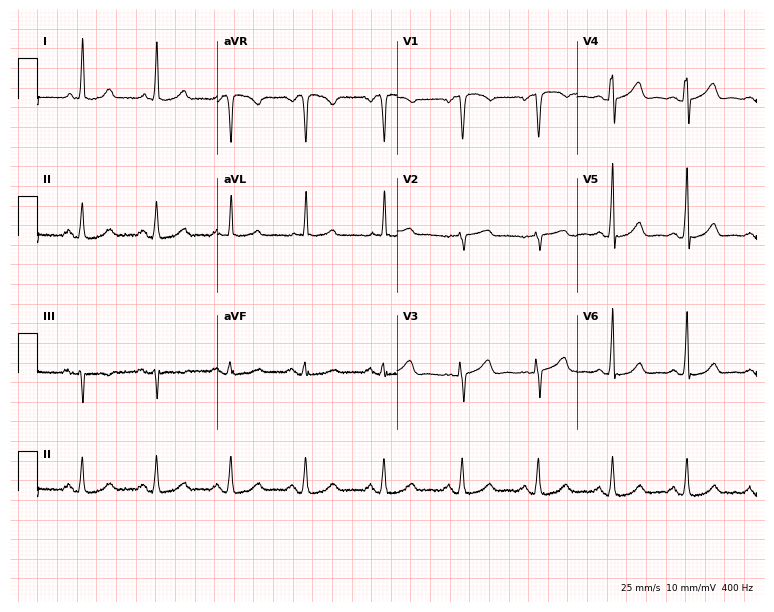
Electrocardiogram (7.3-second recording at 400 Hz), a 69-year-old woman. Overall reading on record: normal ECG.